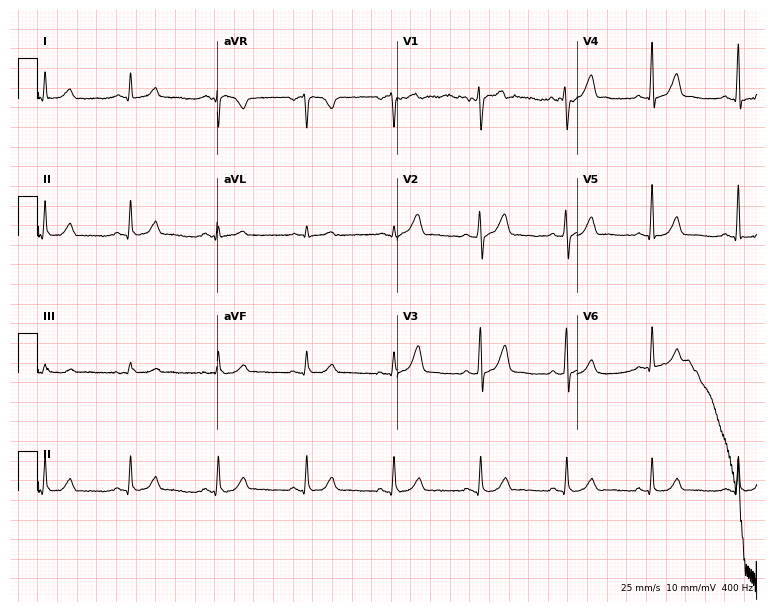
12-lead ECG from a male patient, 55 years old. Recorded interpretation: within normal limits.